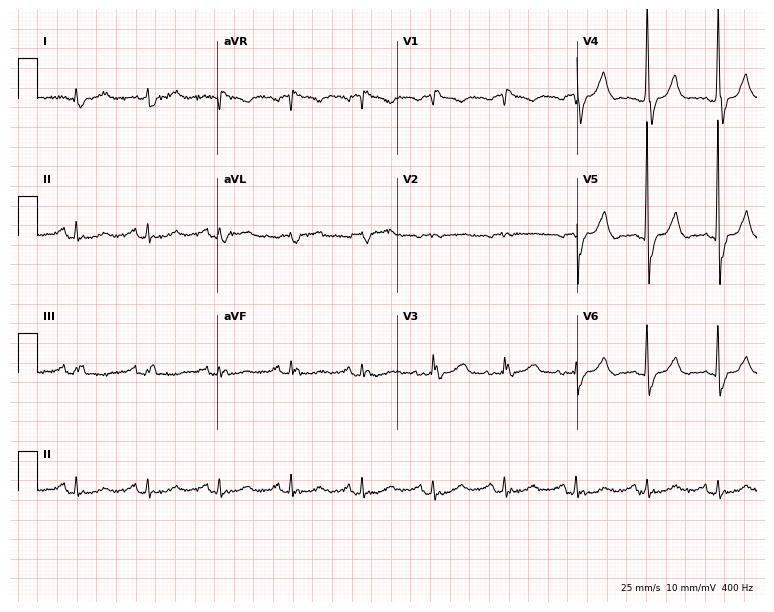
ECG (7.3-second recording at 400 Hz) — a female patient, 78 years old. Screened for six findings — first-degree AV block, right bundle branch block, left bundle branch block, sinus bradycardia, atrial fibrillation, sinus tachycardia — none is recorded. Only these six findings were labelled.